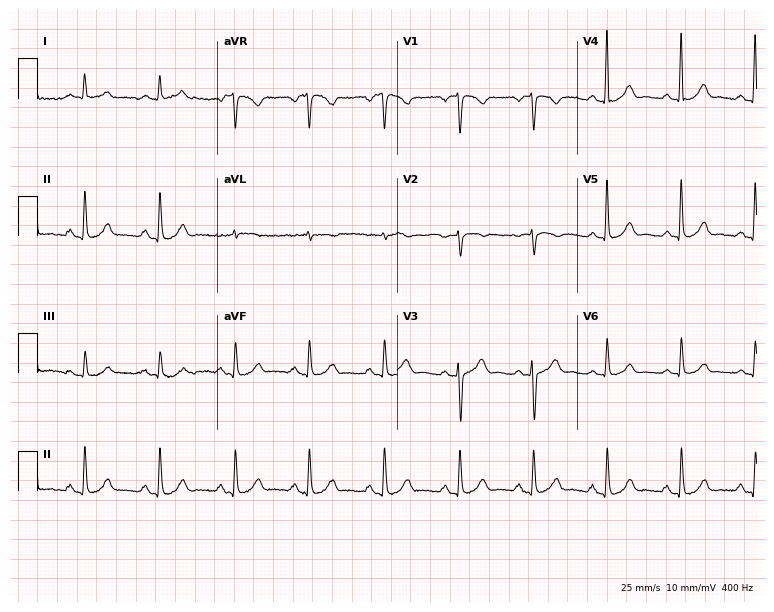
12-lead ECG (7.3-second recording at 400 Hz) from a male patient, 85 years old. Labelled as a normal ECG.